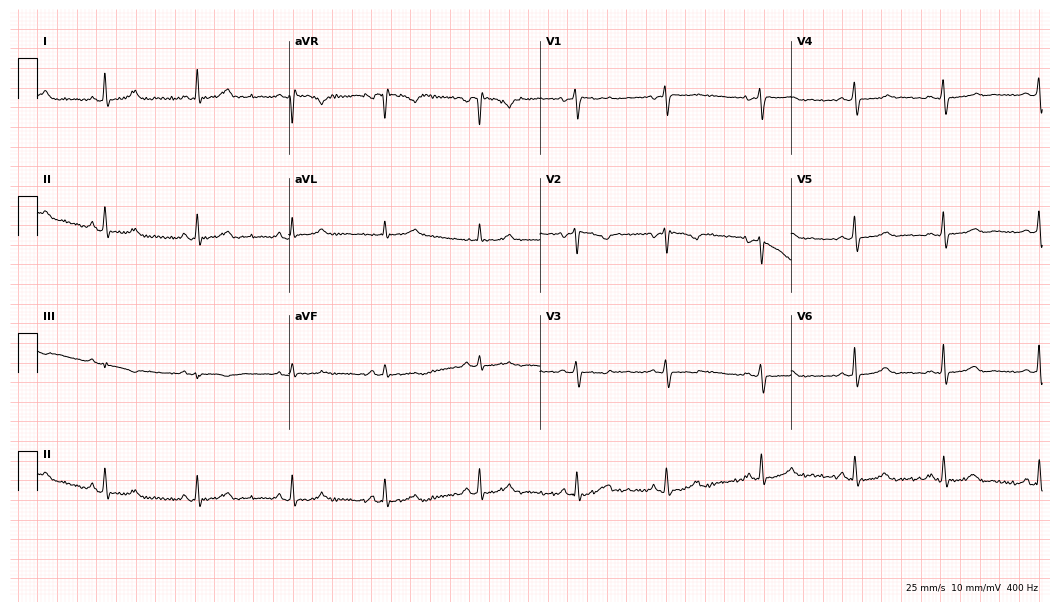
ECG — a female patient, 46 years old. Screened for six findings — first-degree AV block, right bundle branch block, left bundle branch block, sinus bradycardia, atrial fibrillation, sinus tachycardia — none is recorded.